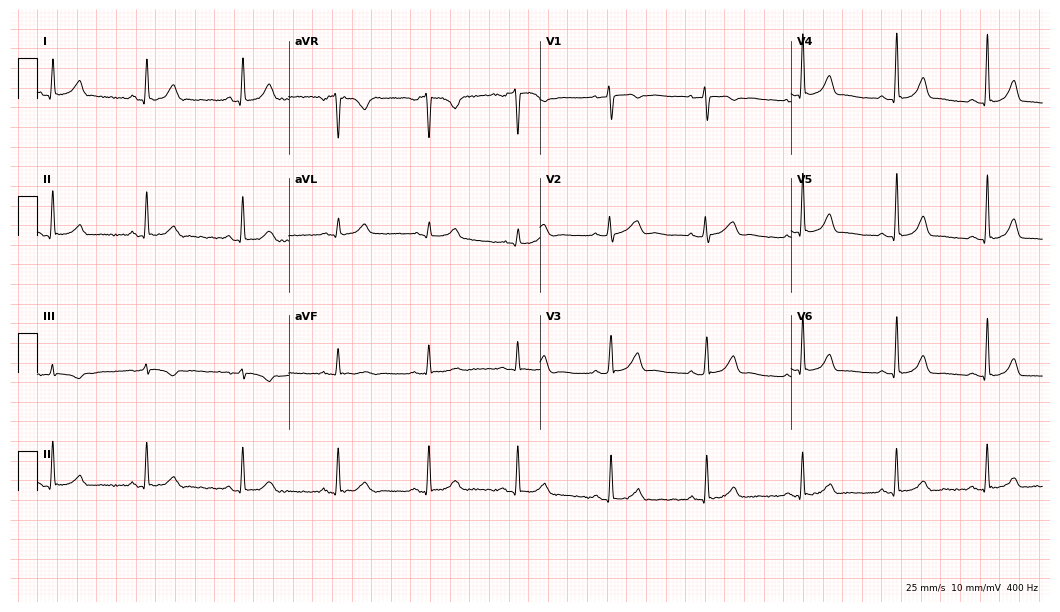
12-lead ECG from a 43-year-old woman. Labelled as a normal ECG.